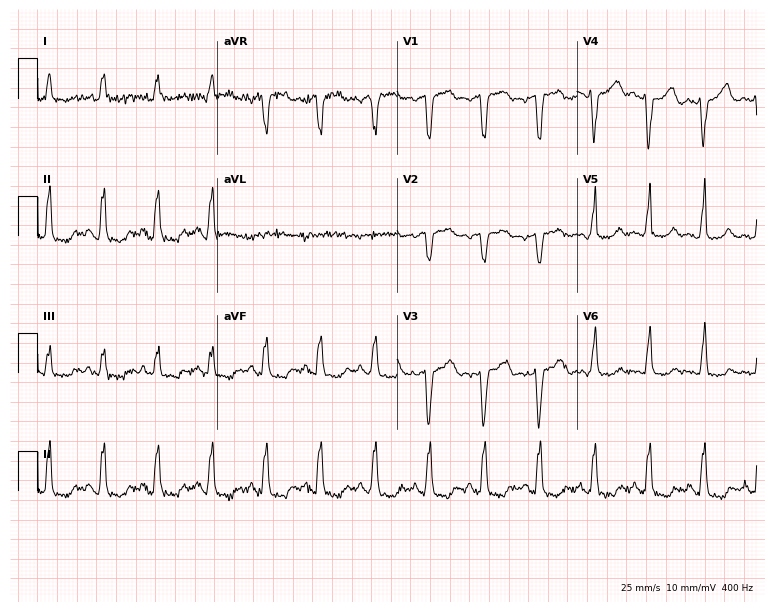
Standard 12-lead ECG recorded from a 51-year-old female. None of these six findings is recorded: first-degree AV block, right bundle branch block, left bundle branch block, sinus bradycardia, atrial fibrillation, sinus tachycardia. Only these six findings were labelled.